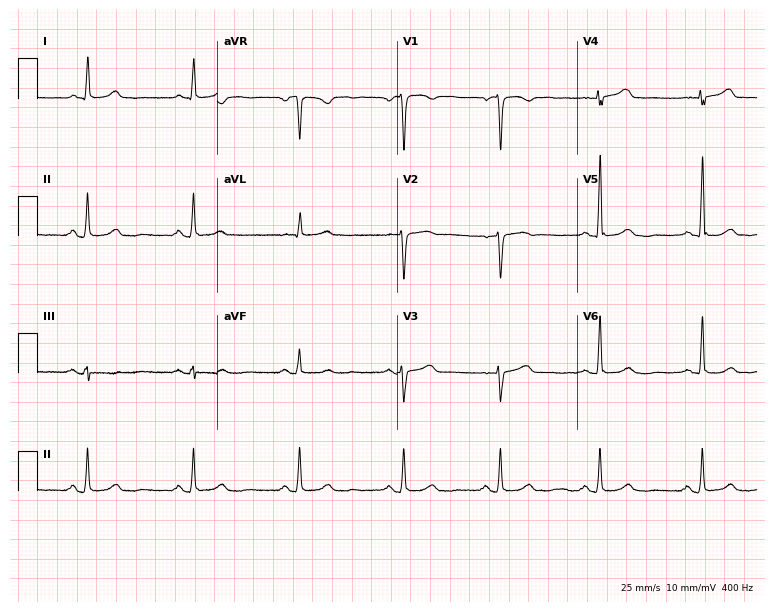
ECG (7.3-second recording at 400 Hz) — a female patient, 56 years old. Screened for six findings — first-degree AV block, right bundle branch block (RBBB), left bundle branch block (LBBB), sinus bradycardia, atrial fibrillation (AF), sinus tachycardia — none is recorded. Other findings, if any, are not listed.